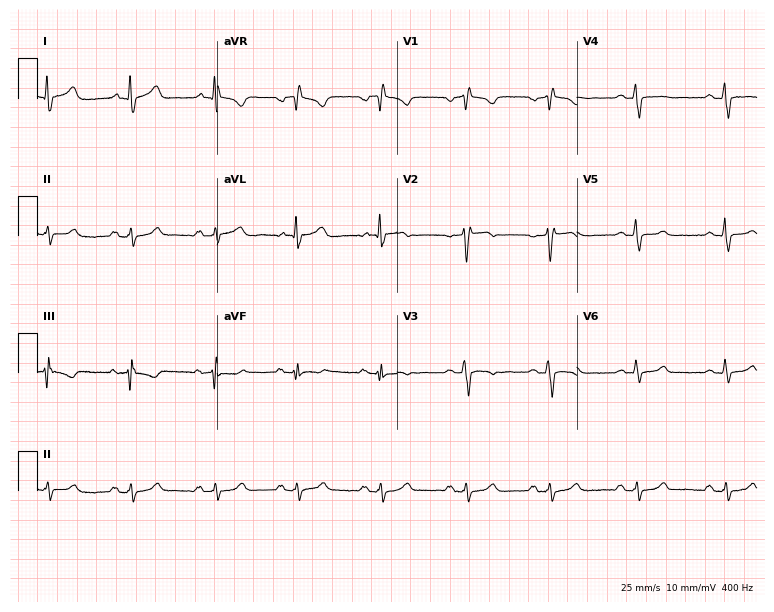
12-lead ECG (7.3-second recording at 400 Hz) from a 41-year-old male patient. Screened for six findings — first-degree AV block, right bundle branch block, left bundle branch block, sinus bradycardia, atrial fibrillation, sinus tachycardia — none is recorded. Only these six findings were labelled.